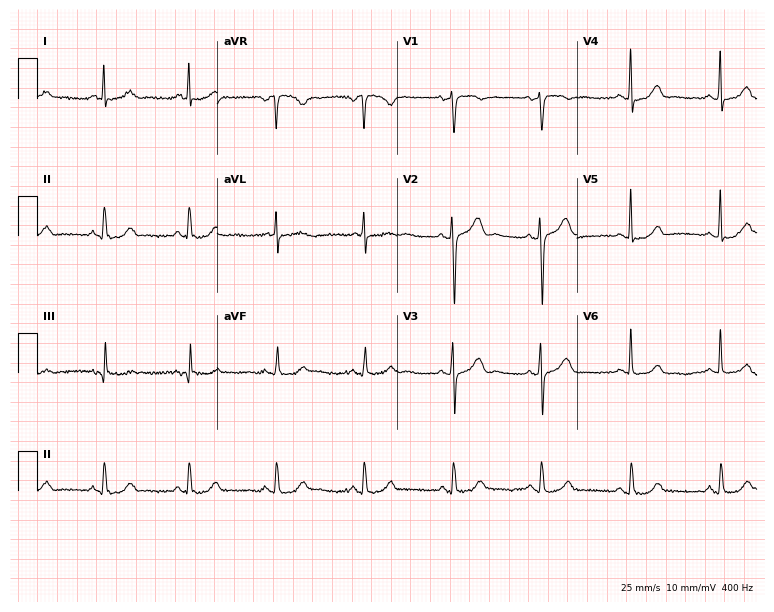
12-lead ECG from a female, 57 years old. No first-degree AV block, right bundle branch block, left bundle branch block, sinus bradycardia, atrial fibrillation or sinus tachycardia recorded for this tracing.